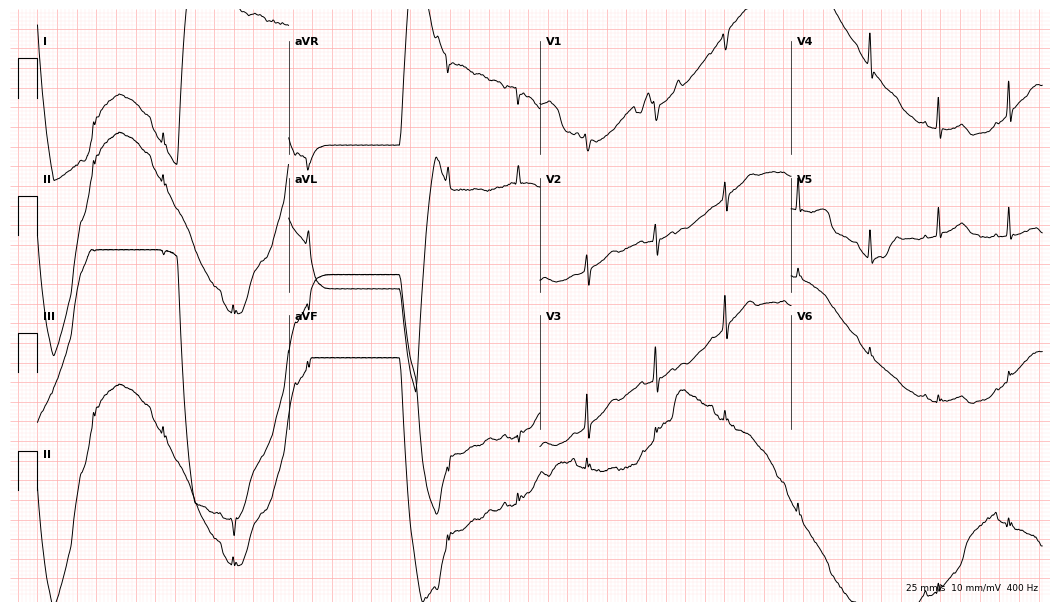
Standard 12-lead ECG recorded from a man, 78 years old. None of these six findings is recorded: first-degree AV block, right bundle branch block (RBBB), left bundle branch block (LBBB), sinus bradycardia, atrial fibrillation (AF), sinus tachycardia. Other findings, if any, are not listed.